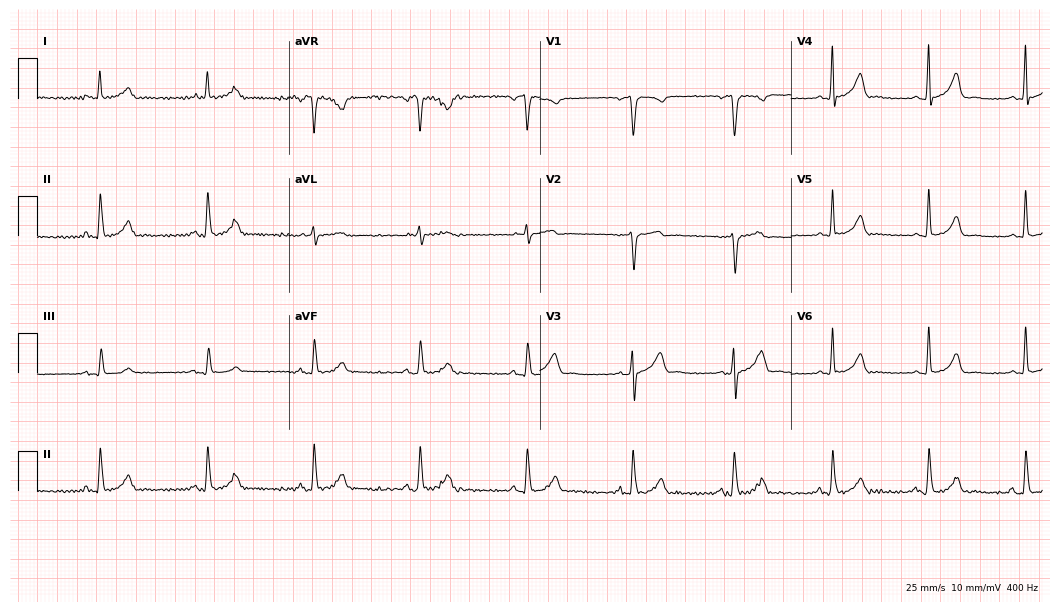
Electrocardiogram, a male, 17 years old. Overall reading on record: normal ECG.